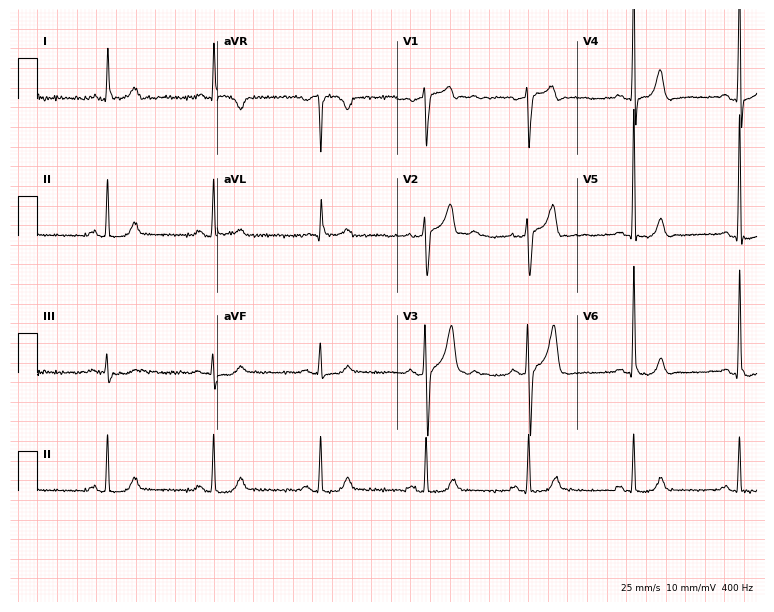
ECG — a 68-year-old man. Labelled as a normal ECG.